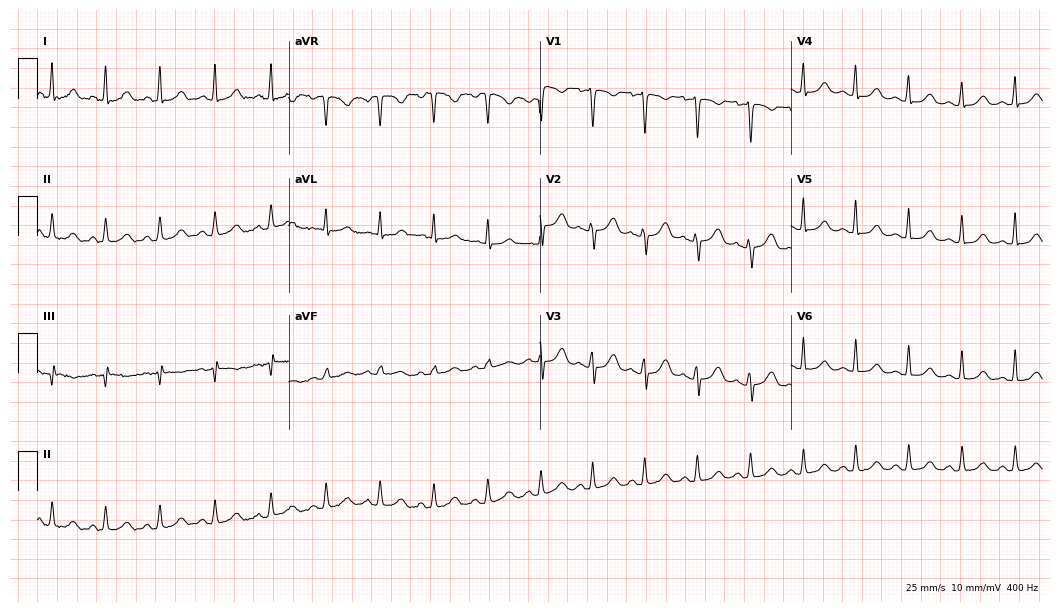
Electrocardiogram (10.2-second recording at 400 Hz), a 28-year-old female patient. Interpretation includes sinus tachycardia (a sinus rate of 100 beats per minute or more).